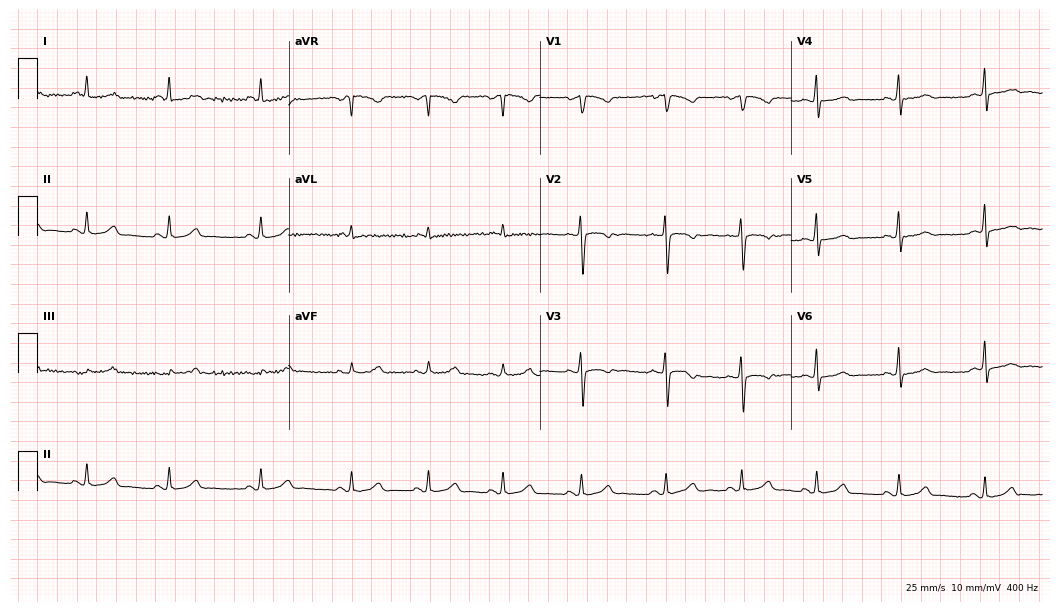
12-lead ECG from a female, 43 years old. No first-degree AV block, right bundle branch block (RBBB), left bundle branch block (LBBB), sinus bradycardia, atrial fibrillation (AF) or sinus tachycardia recorded for this tracing. Other findings, if any, are not listed.